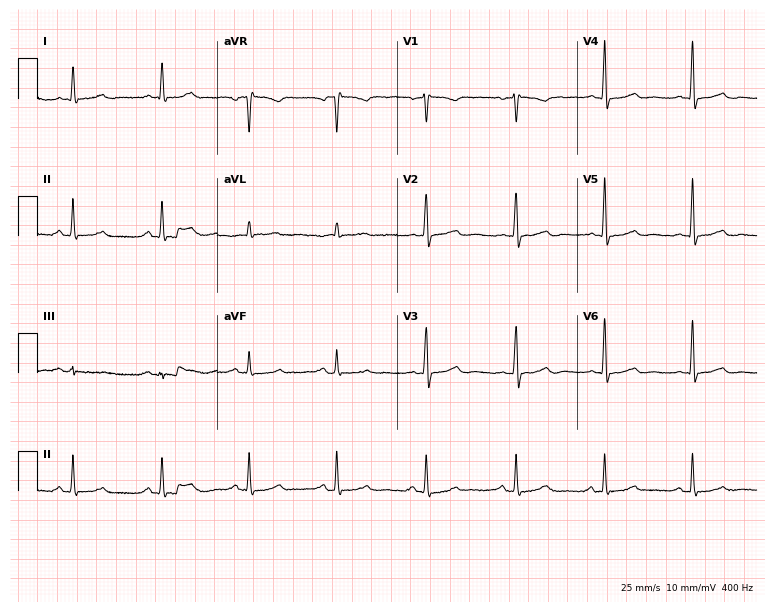
Standard 12-lead ECG recorded from a woman, 59 years old. Read as a normal ECG.